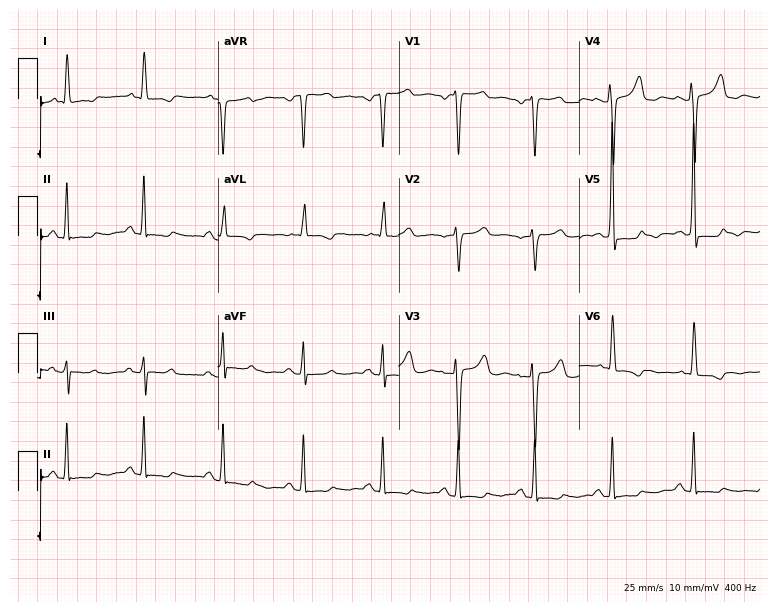
12-lead ECG from a 67-year-old female patient. Screened for six findings — first-degree AV block, right bundle branch block, left bundle branch block, sinus bradycardia, atrial fibrillation, sinus tachycardia — none is recorded. Only these six findings were labelled.